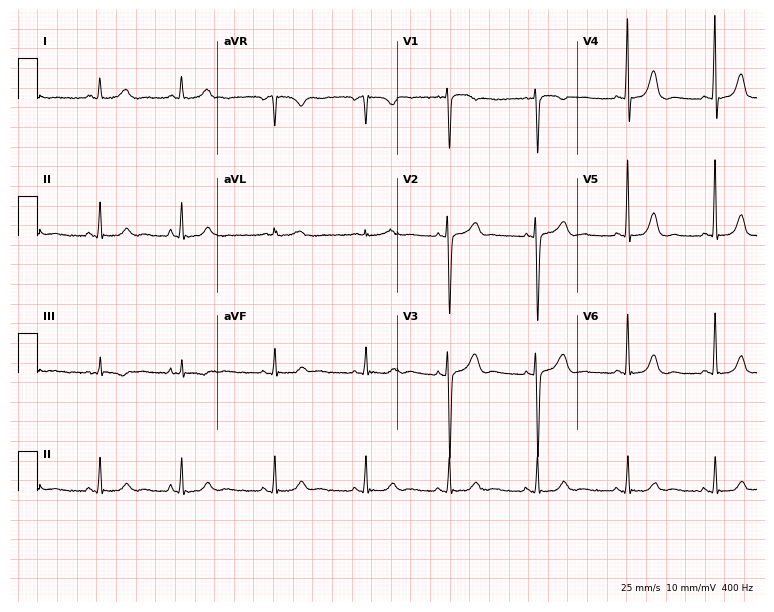
12-lead ECG from a female, 35 years old. Recorded interpretation: within normal limits.